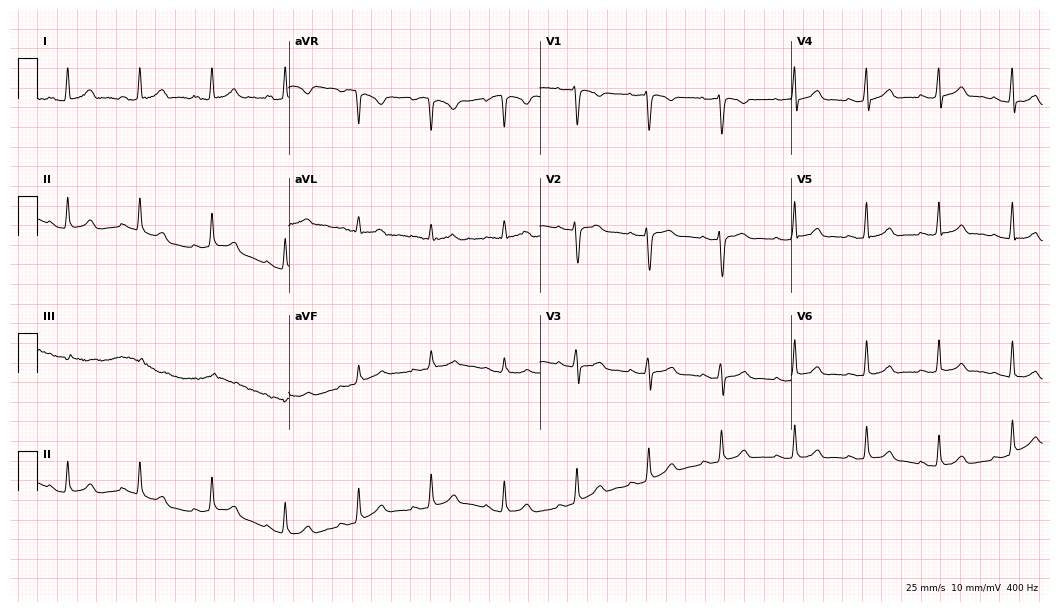
Resting 12-lead electrocardiogram (10.2-second recording at 400 Hz). Patient: a 36-year-old woman. Read as a normal ECG.